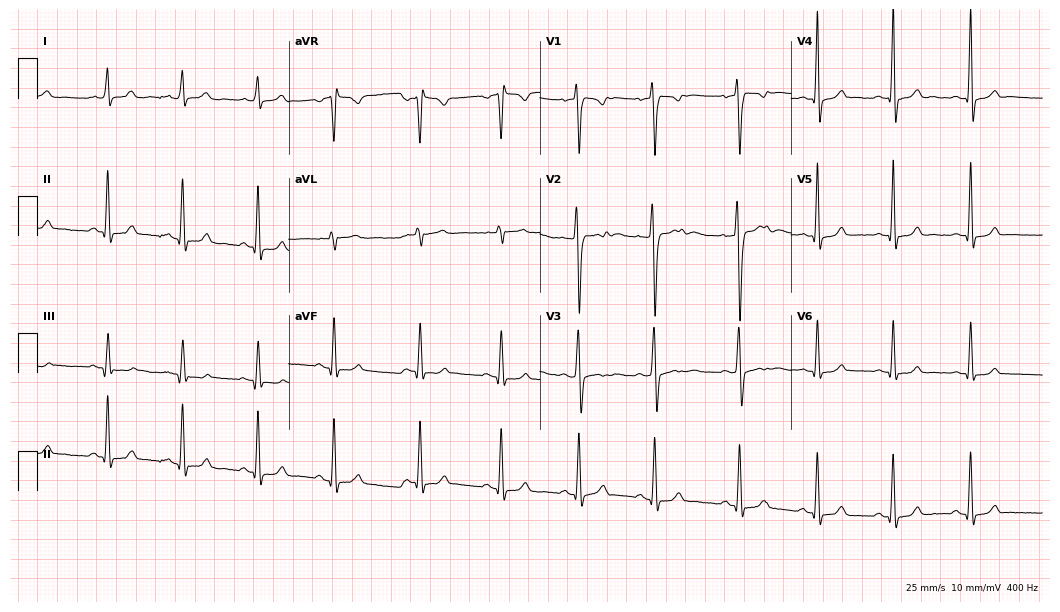
ECG — a 17-year-old male. Screened for six findings — first-degree AV block, right bundle branch block, left bundle branch block, sinus bradycardia, atrial fibrillation, sinus tachycardia — none is recorded.